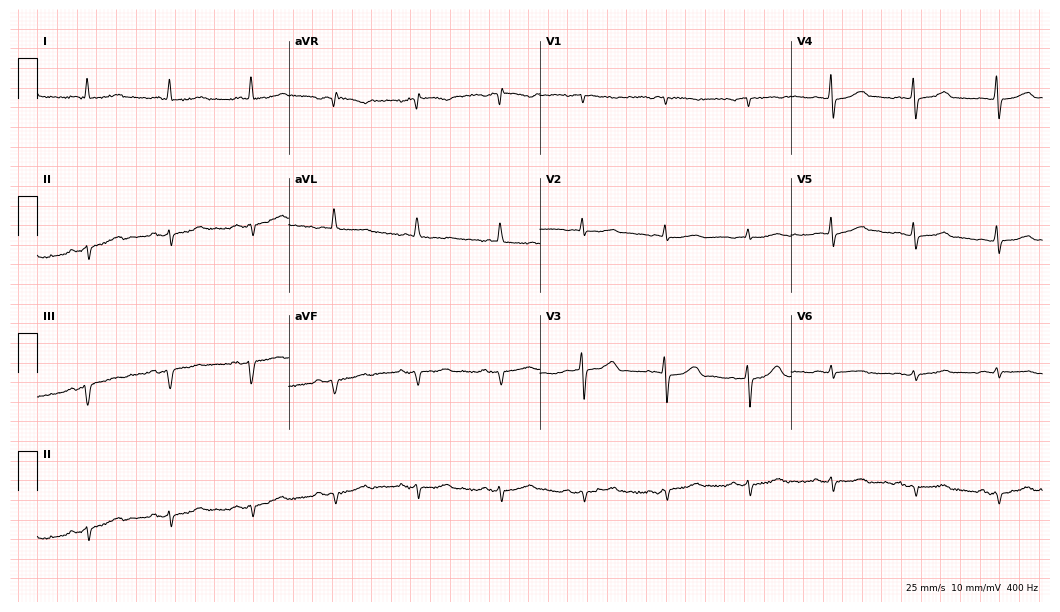
Standard 12-lead ECG recorded from a 75-year-old female. None of these six findings is recorded: first-degree AV block, right bundle branch block (RBBB), left bundle branch block (LBBB), sinus bradycardia, atrial fibrillation (AF), sinus tachycardia.